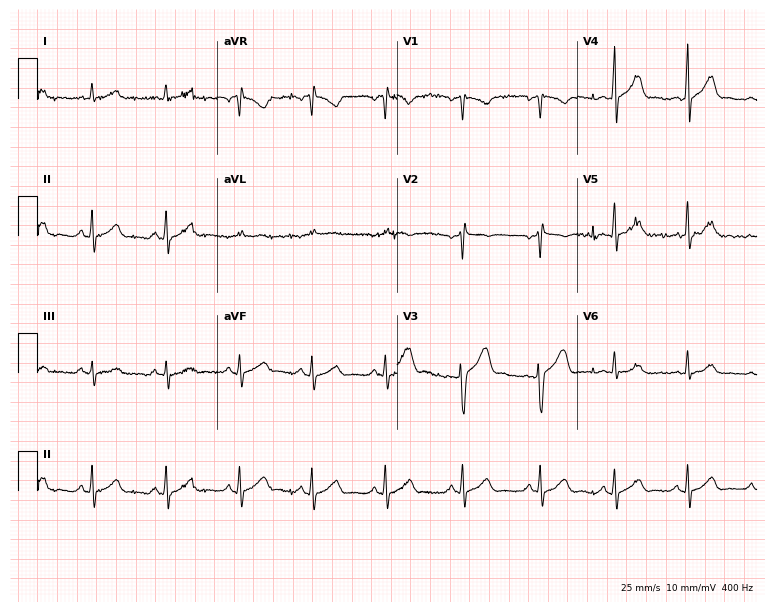
12-lead ECG from a 27-year-old man. Labelled as a normal ECG.